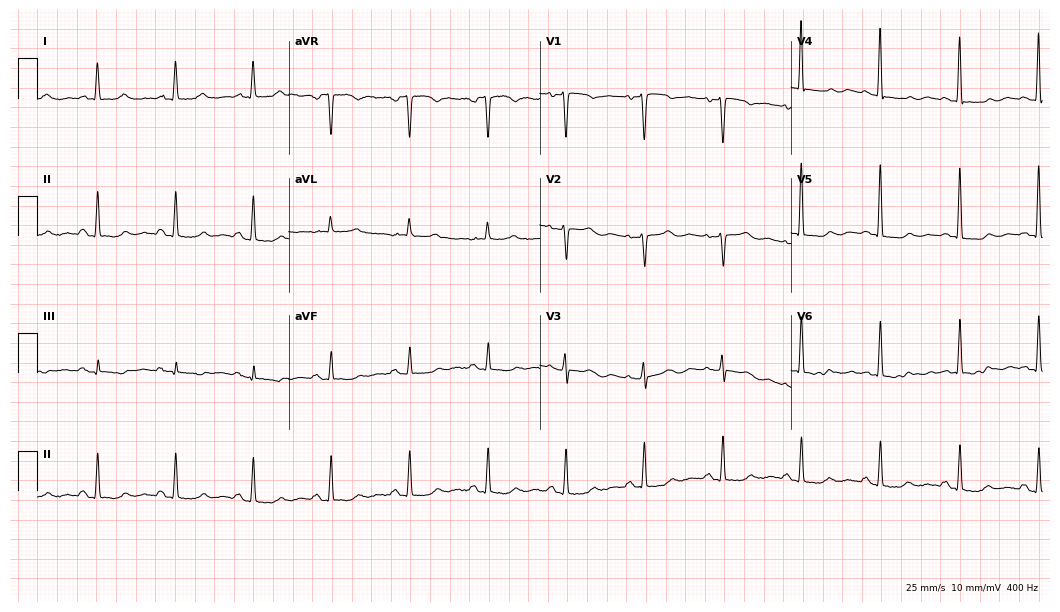
Electrocardiogram (10.2-second recording at 400 Hz), a female patient, 79 years old. Of the six screened findings (first-degree AV block, right bundle branch block (RBBB), left bundle branch block (LBBB), sinus bradycardia, atrial fibrillation (AF), sinus tachycardia), none is recorded. Other findings, if any, are not listed.